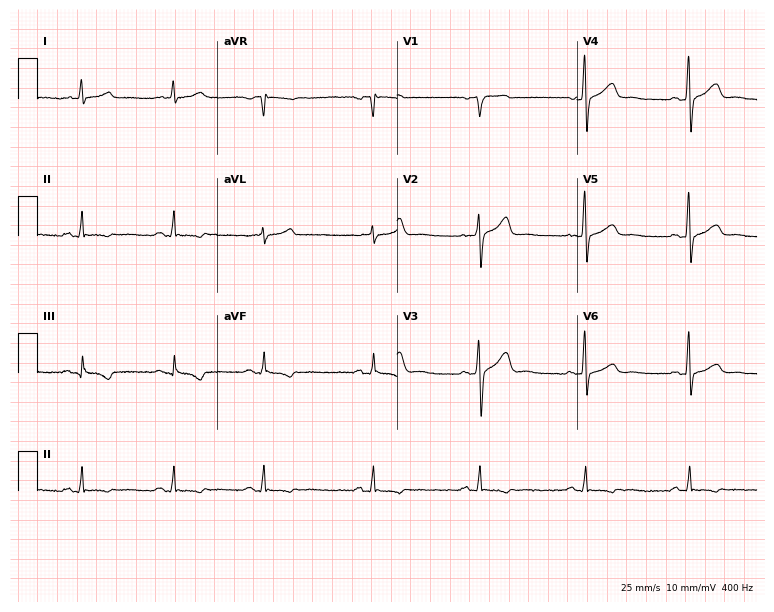
Resting 12-lead electrocardiogram. Patient: a man, 64 years old. None of these six findings is recorded: first-degree AV block, right bundle branch block (RBBB), left bundle branch block (LBBB), sinus bradycardia, atrial fibrillation (AF), sinus tachycardia.